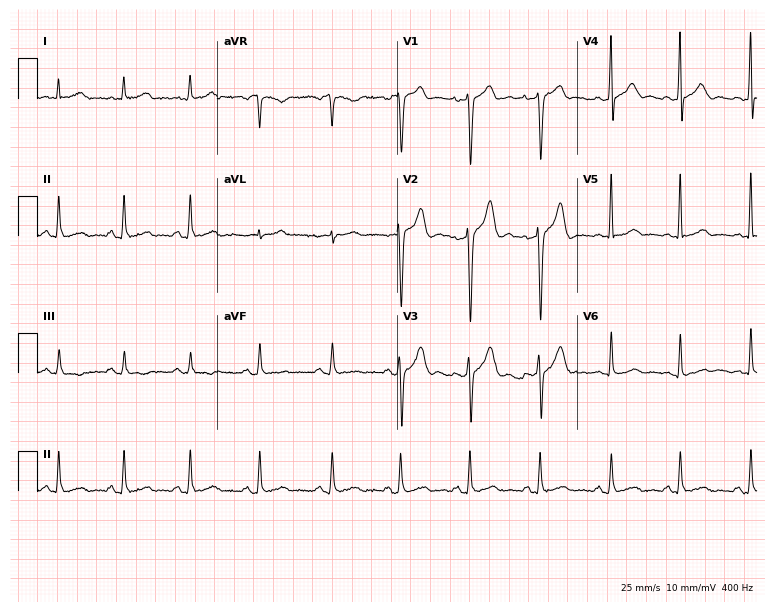
Electrocardiogram (7.3-second recording at 400 Hz), a man, 34 years old. Overall reading on record: normal ECG.